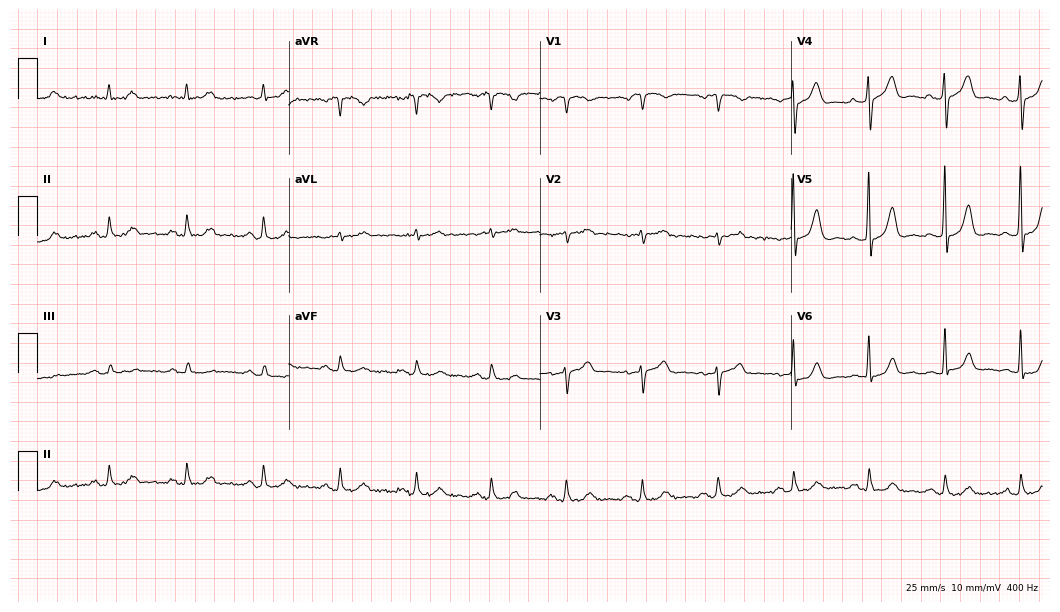
12-lead ECG from a man, 78 years old. Recorded interpretation: within normal limits.